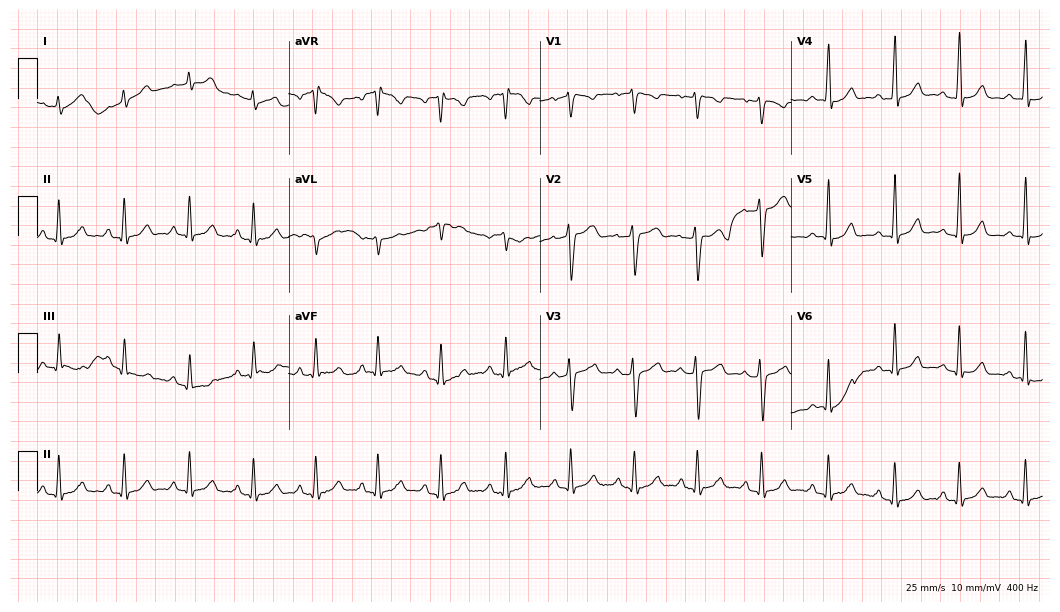
Electrocardiogram (10.2-second recording at 400 Hz), a woman, 31 years old. Of the six screened findings (first-degree AV block, right bundle branch block, left bundle branch block, sinus bradycardia, atrial fibrillation, sinus tachycardia), none is recorded. Only these six findings were labelled.